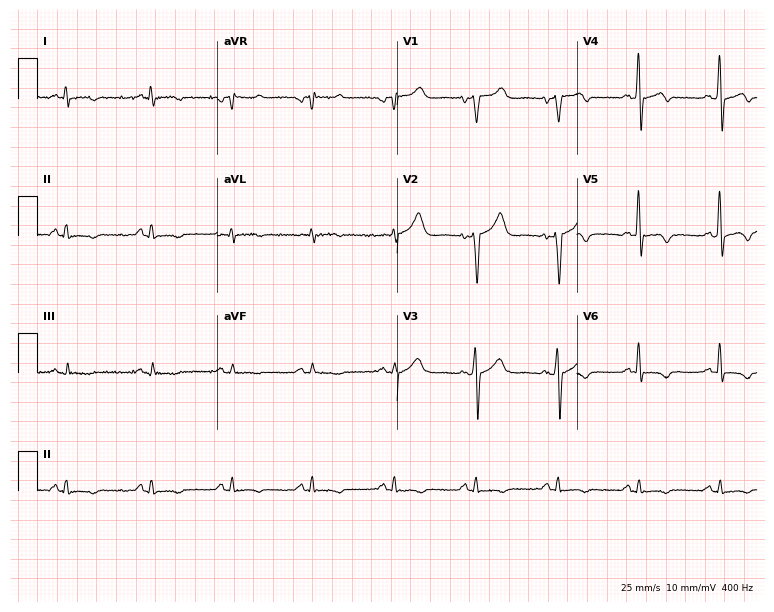
12-lead ECG (7.3-second recording at 400 Hz) from a 49-year-old male patient. Screened for six findings — first-degree AV block, right bundle branch block (RBBB), left bundle branch block (LBBB), sinus bradycardia, atrial fibrillation (AF), sinus tachycardia — none is recorded.